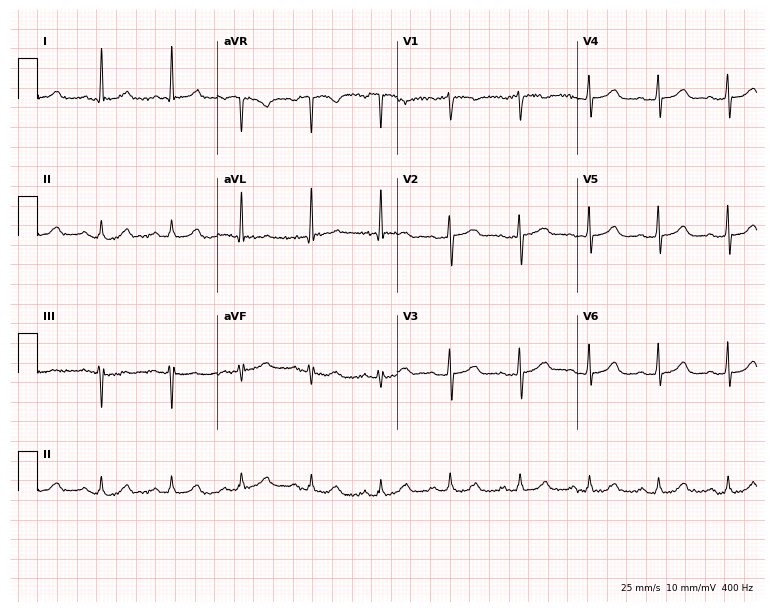
Standard 12-lead ECG recorded from a female, 84 years old. Read as a normal ECG.